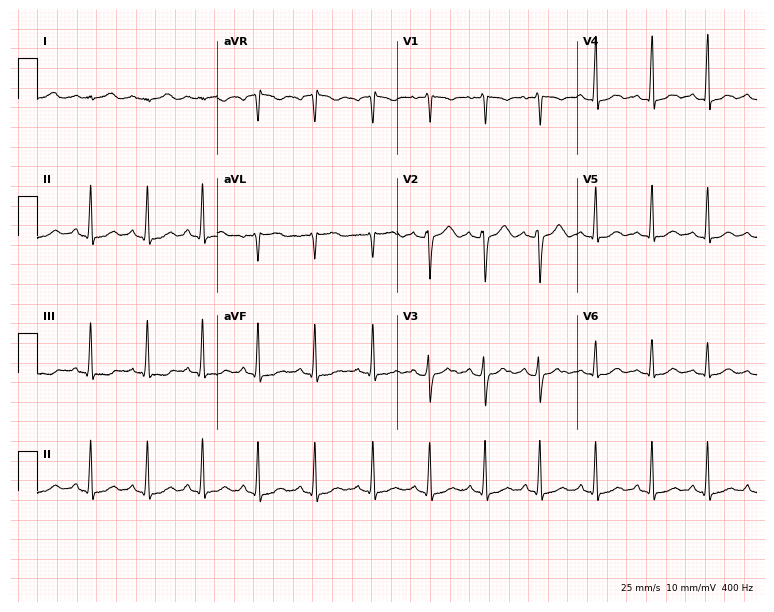
Resting 12-lead electrocardiogram. Patient: a woman, 20 years old. The tracing shows sinus tachycardia (a sinus rate of 100 beats per minute or more).